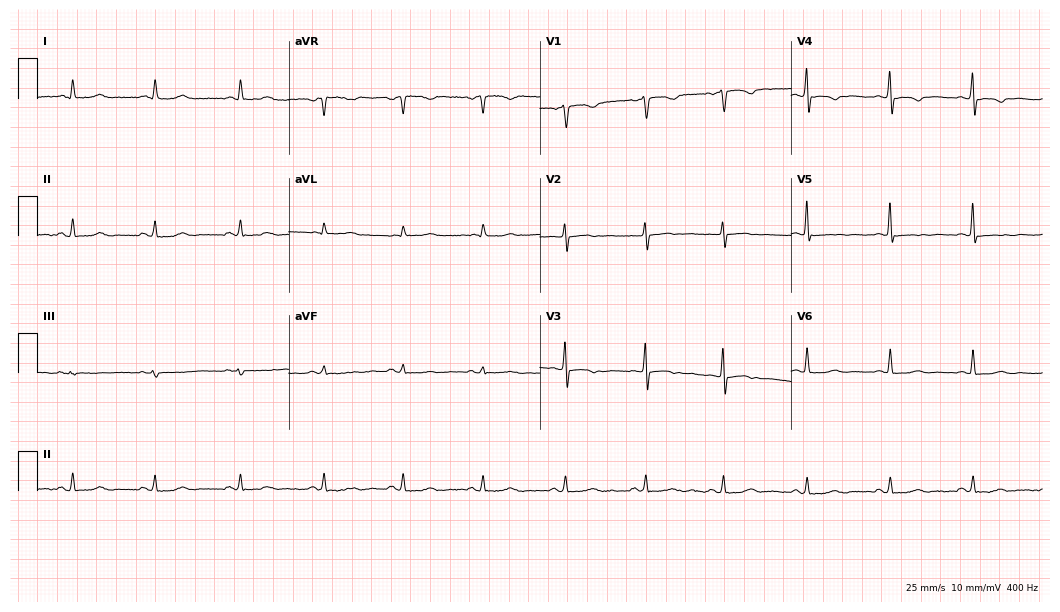
ECG (10.2-second recording at 400 Hz) — a female patient, 56 years old. Labelled as a normal ECG.